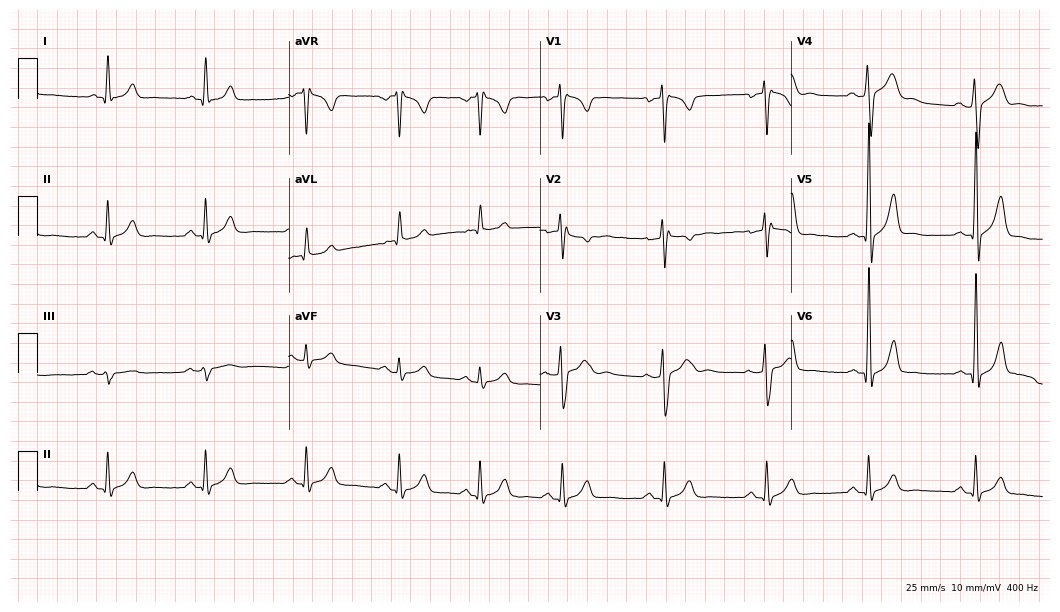
Resting 12-lead electrocardiogram (10.2-second recording at 400 Hz). Patient: a male, 43 years old. None of these six findings is recorded: first-degree AV block, right bundle branch block, left bundle branch block, sinus bradycardia, atrial fibrillation, sinus tachycardia. Findings outside these six are not listed.